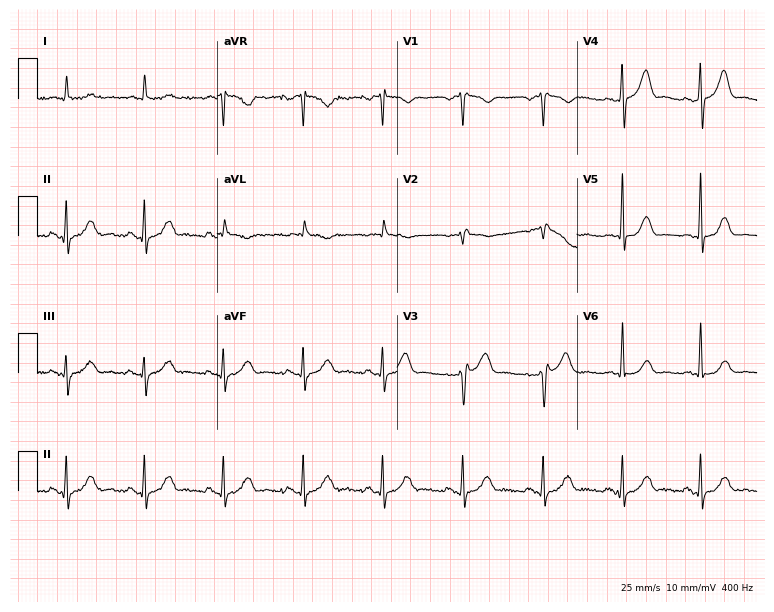
ECG — a man, 67 years old. Labelled as a normal ECG.